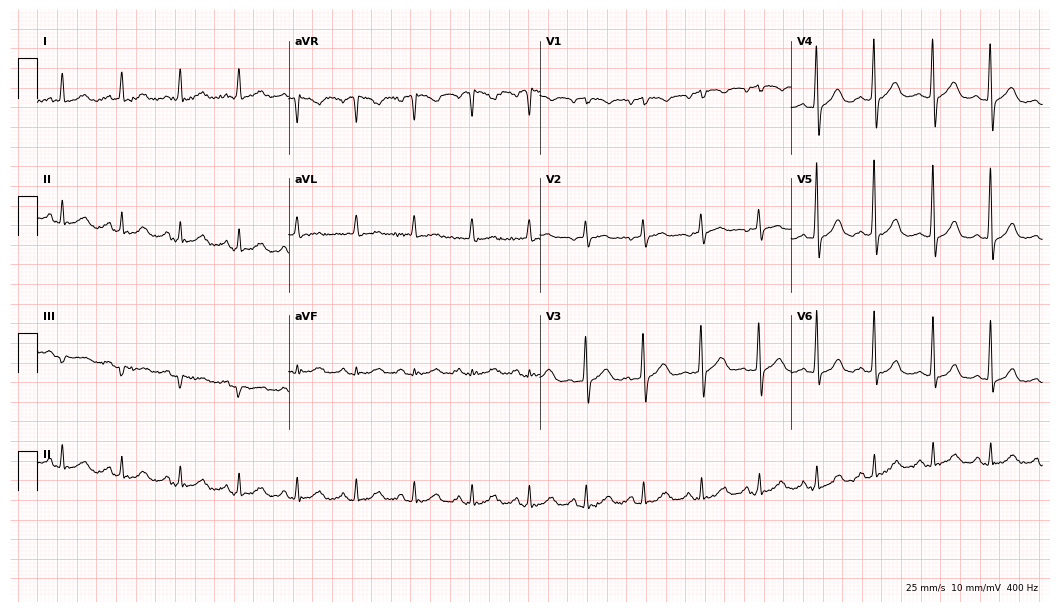
12-lead ECG from a woman, 71 years old (10.2-second recording at 400 Hz). Shows sinus tachycardia (a sinus rate of 100 beats per minute or more).